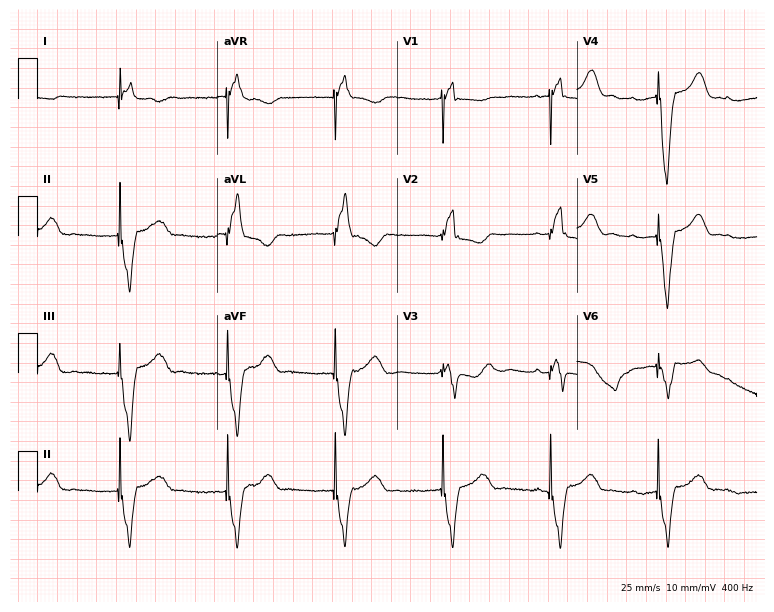
12-lead ECG from a 61-year-old female patient. No first-degree AV block, right bundle branch block, left bundle branch block, sinus bradycardia, atrial fibrillation or sinus tachycardia recorded for this tracing.